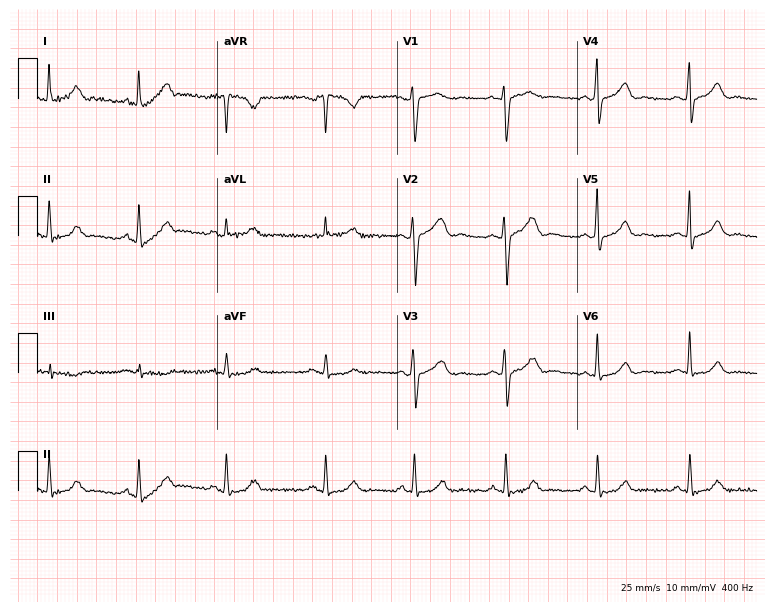
Electrocardiogram, a woman, 24 years old. Of the six screened findings (first-degree AV block, right bundle branch block, left bundle branch block, sinus bradycardia, atrial fibrillation, sinus tachycardia), none is recorded. Findings outside these six are not listed.